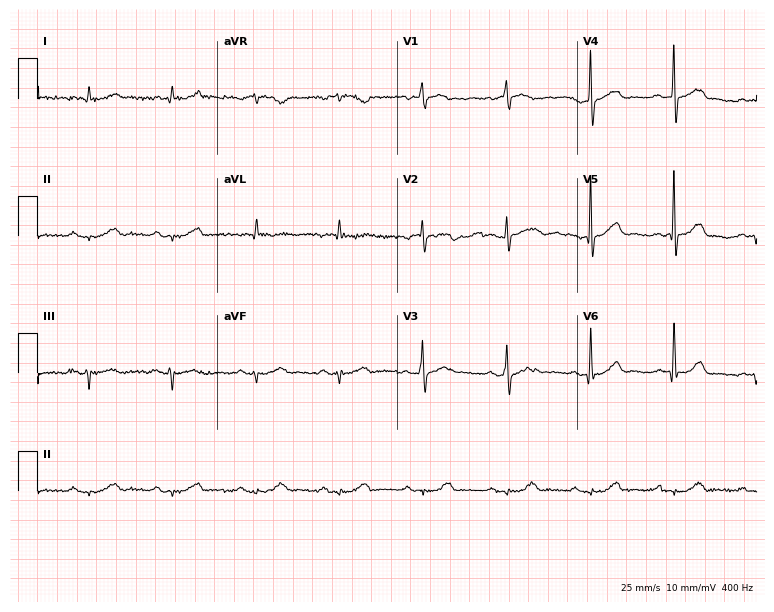
Standard 12-lead ECG recorded from a man, 74 years old (7.3-second recording at 400 Hz). None of these six findings is recorded: first-degree AV block, right bundle branch block, left bundle branch block, sinus bradycardia, atrial fibrillation, sinus tachycardia. Only these six findings were labelled.